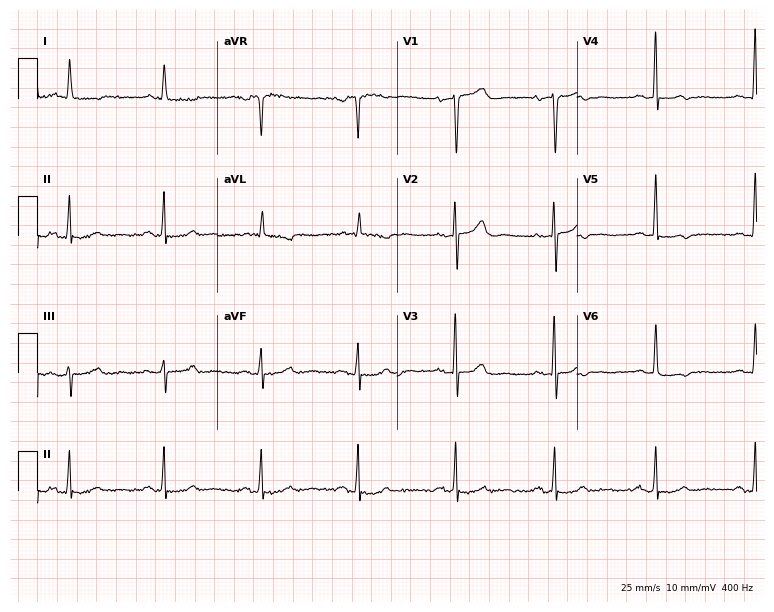
ECG — a woman, 73 years old. Screened for six findings — first-degree AV block, right bundle branch block, left bundle branch block, sinus bradycardia, atrial fibrillation, sinus tachycardia — none is recorded. Only these six findings were labelled.